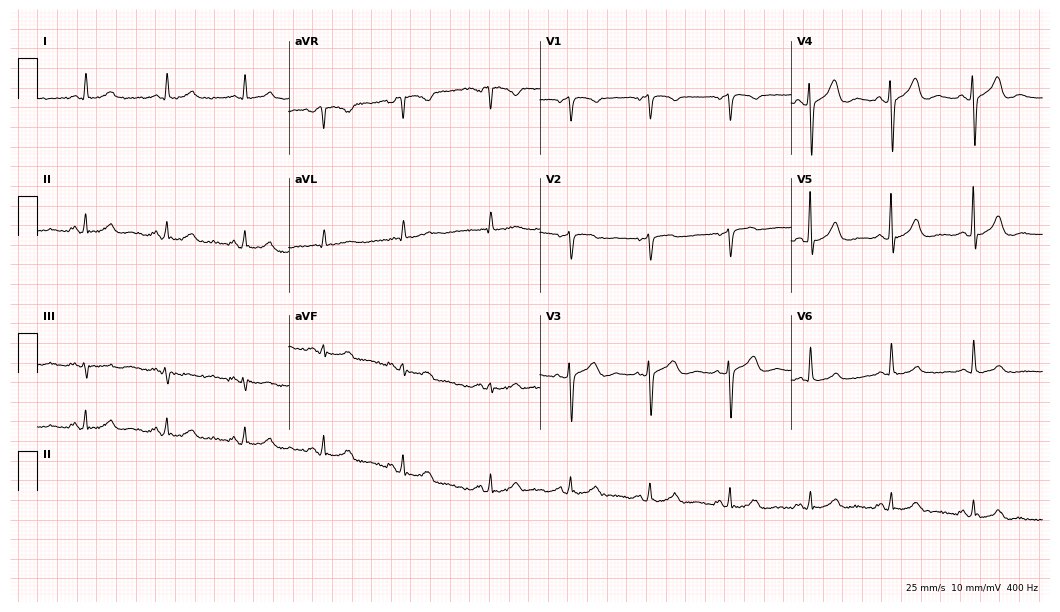
12-lead ECG from a woman, 80 years old. No first-degree AV block, right bundle branch block, left bundle branch block, sinus bradycardia, atrial fibrillation or sinus tachycardia recorded for this tracing. Findings outside these six are not listed.